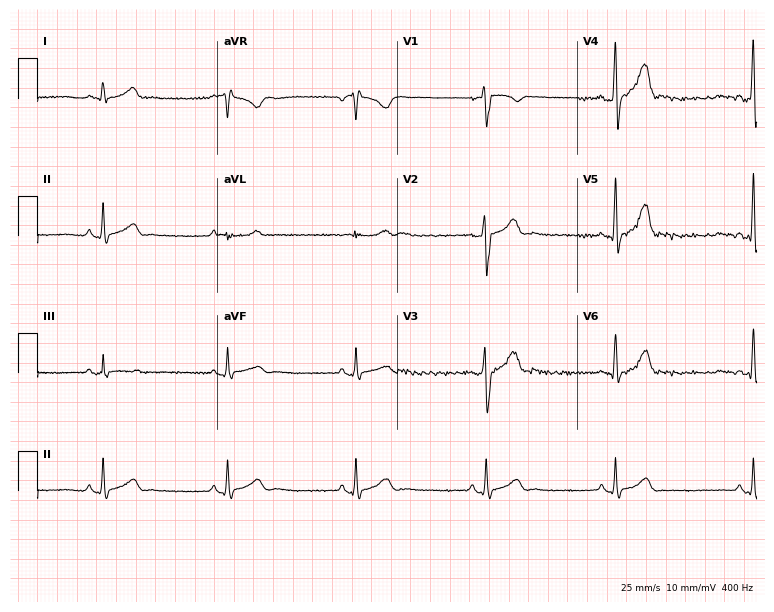
Standard 12-lead ECG recorded from a man, 30 years old (7.3-second recording at 400 Hz). The tracing shows sinus bradycardia (a sinus rate of 50 beats per minute or less).